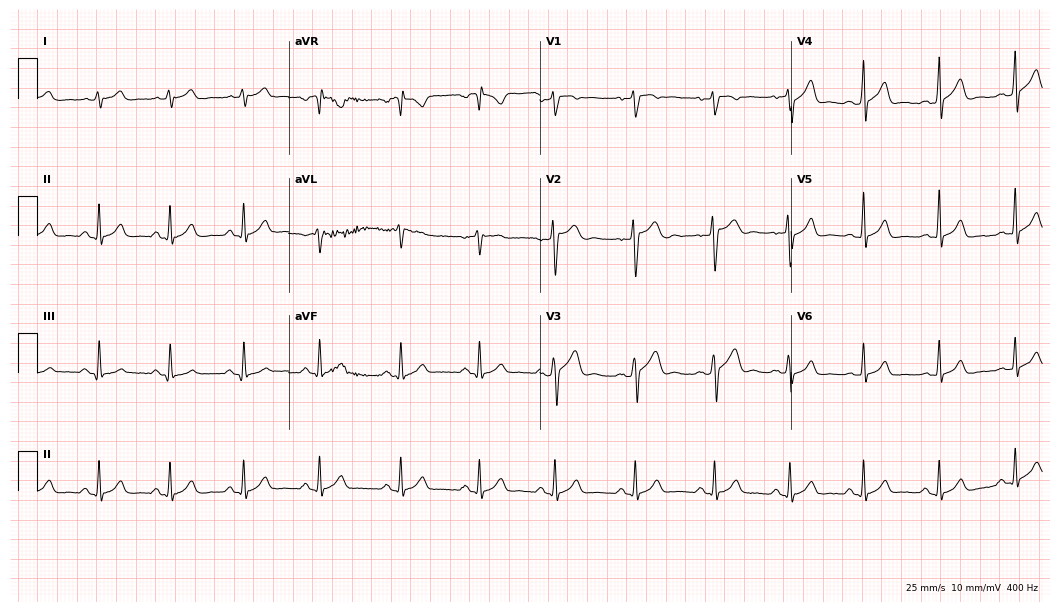
Resting 12-lead electrocardiogram. Patient: a 24-year-old man. Read as a normal ECG.